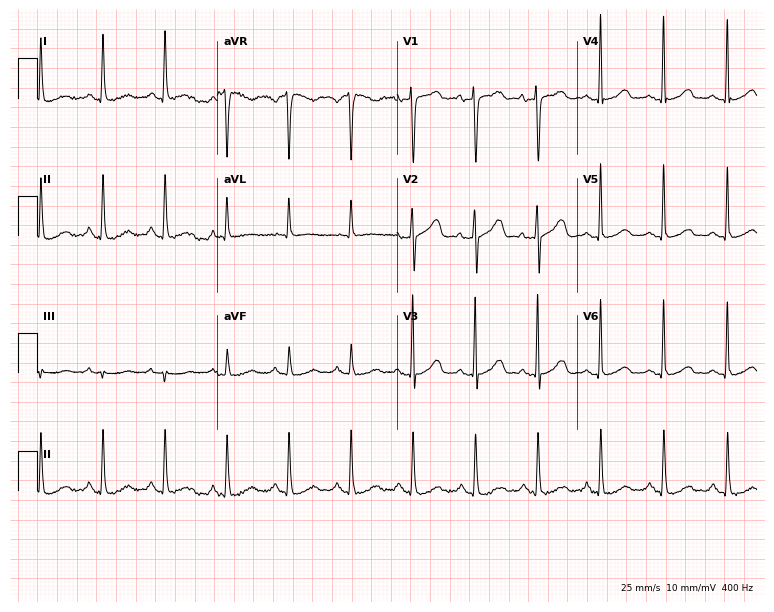
Standard 12-lead ECG recorded from a 56-year-old woman. None of these six findings is recorded: first-degree AV block, right bundle branch block (RBBB), left bundle branch block (LBBB), sinus bradycardia, atrial fibrillation (AF), sinus tachycardia. Findings outside these six are not listed.